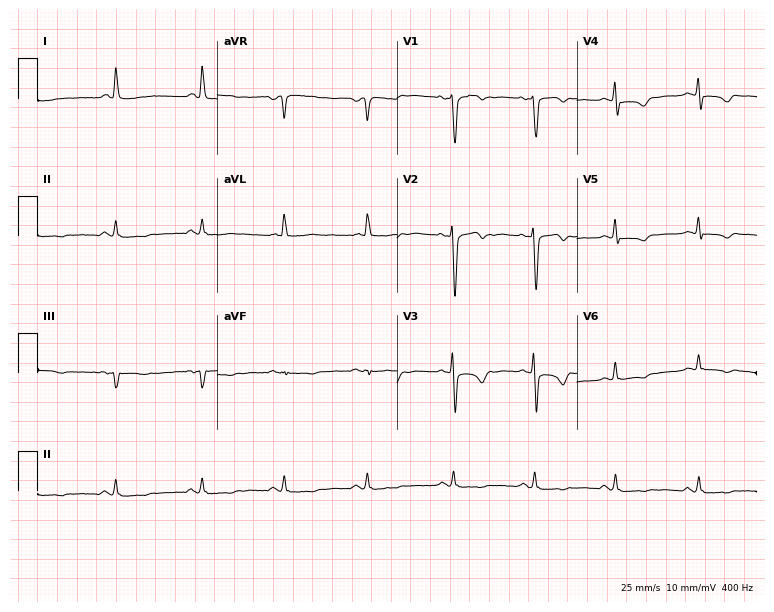
Electrocardiogram (7.3-second recording at 400 Hz), a female patient, 50 years old. Of the six screened findings (first-degree AV block, right bundle branch block, left bundle branch block, sinus bradycardia, atrial fibrillation, sinus tachycardia), none is recorded. Other findings, if any, are not listed.